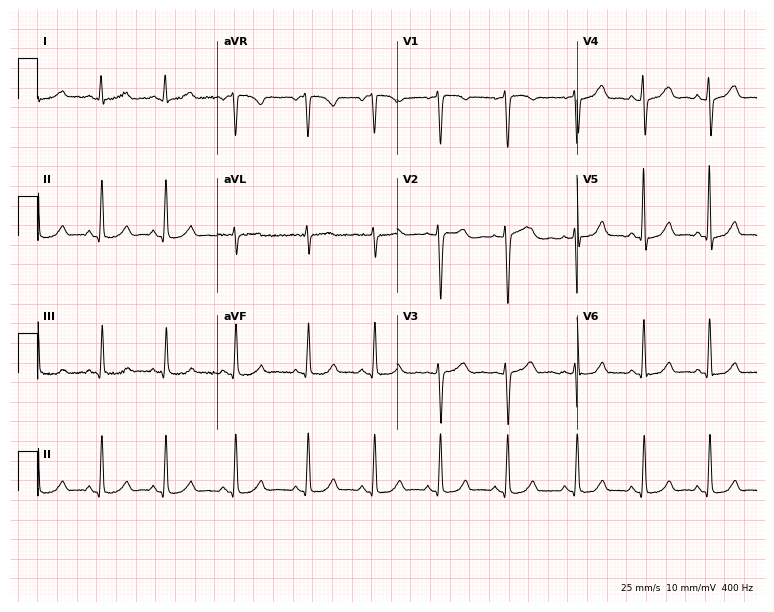
12-lead ECG (7.3-second recording at 400 Hz) from a 33-year-old female patient. Labelled as a normal ECG.